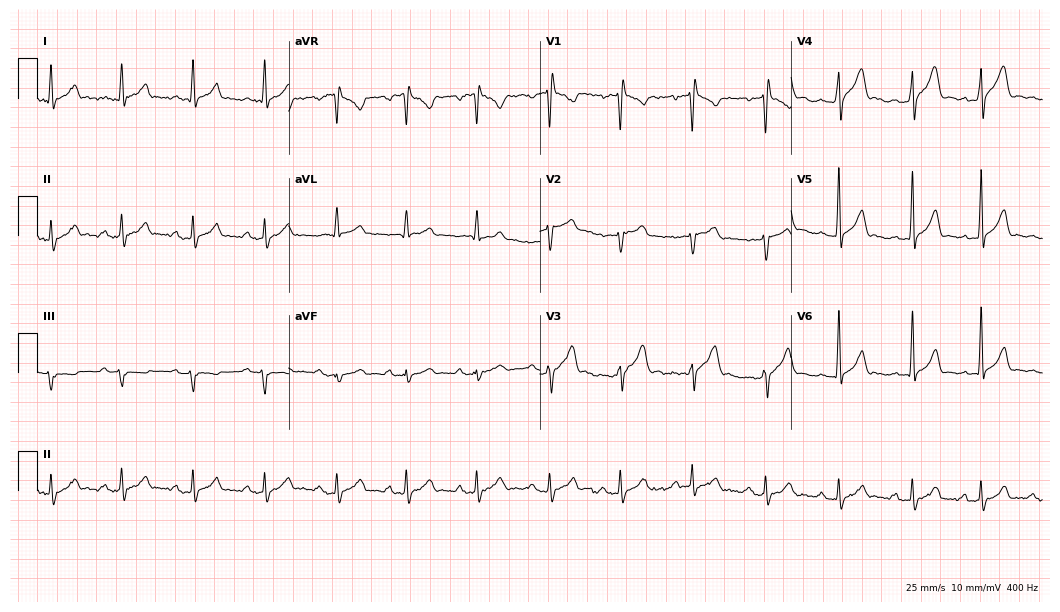
ECG (10.2-second recording at 400 Hz) — a 22-year-old male. Labelled as a normal ECG.